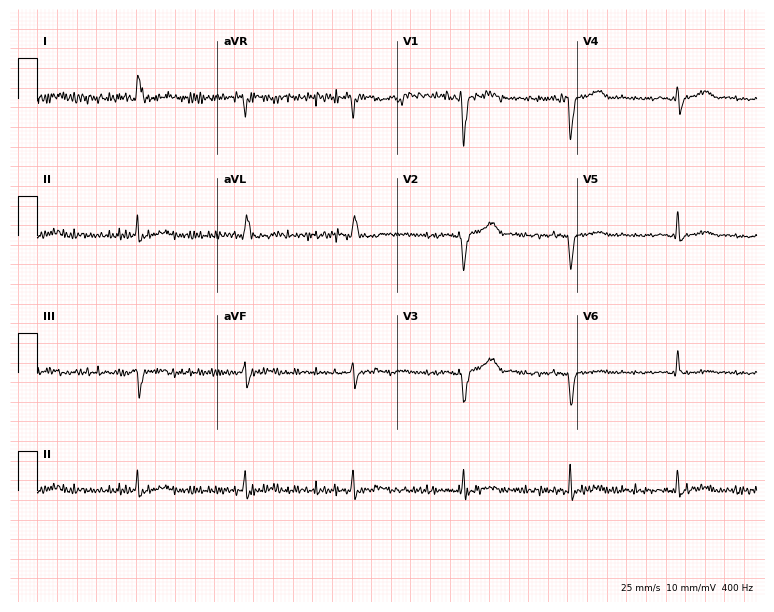
Standard 12-lead ECG recorded from a 56-year-old male (7.3-second recording at 400 Hz). None of these six findings is recorded: first-degree AV block, right bundle branch block (RBBB), left bundle branch block (LBBB), sinus bradycardia, atrial fibrillation (AF), sinus tachycardia.